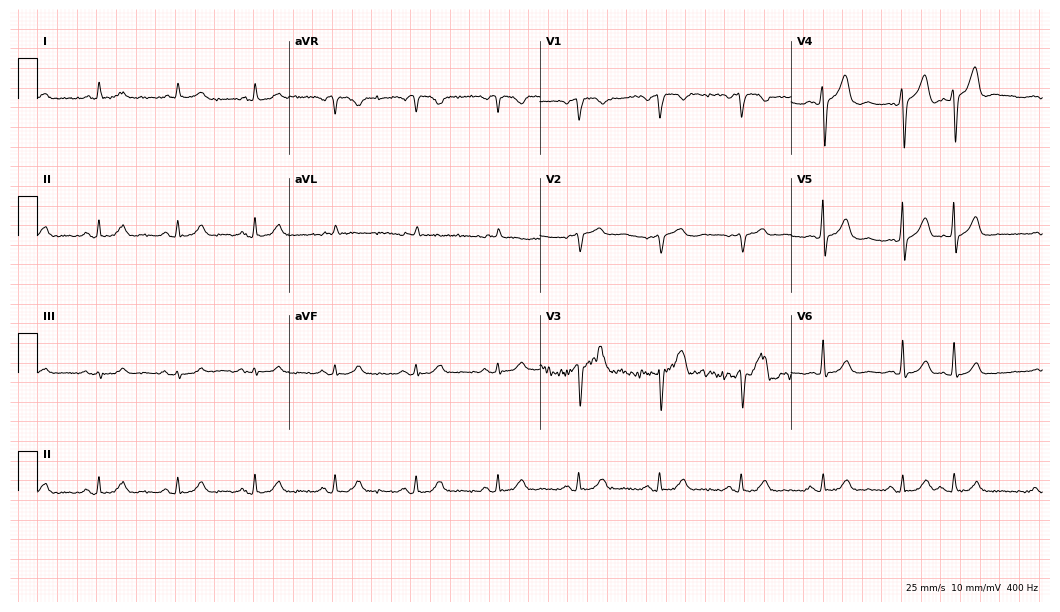
Standard 12-lead ECG recorded from an 85-year-old male patient. Read as a normal ECG.